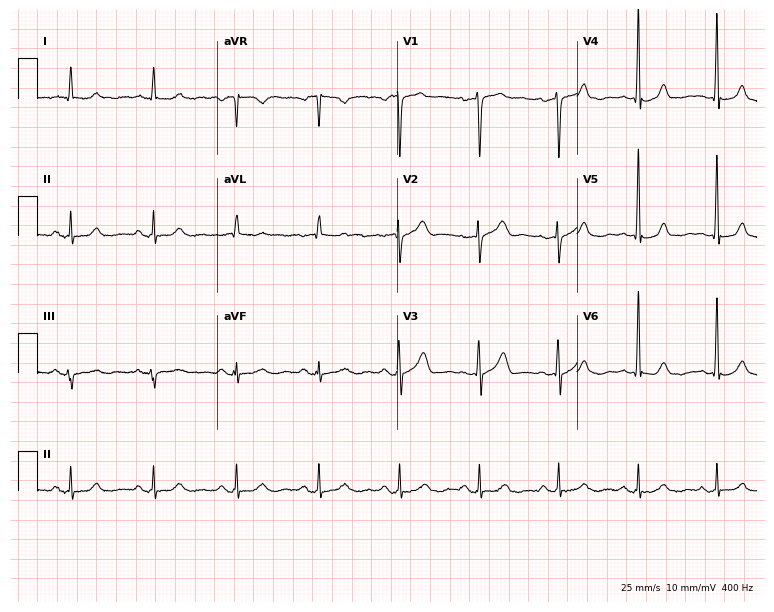
Resting 12-lead electrocardiogram. Patient: a male, 74 years old. None of these six findings is recorded: first-degree AV block, right bundle branch block, left bundle branch block, sinus bradycardia, atrial fibrillation, sinus tachycardia.